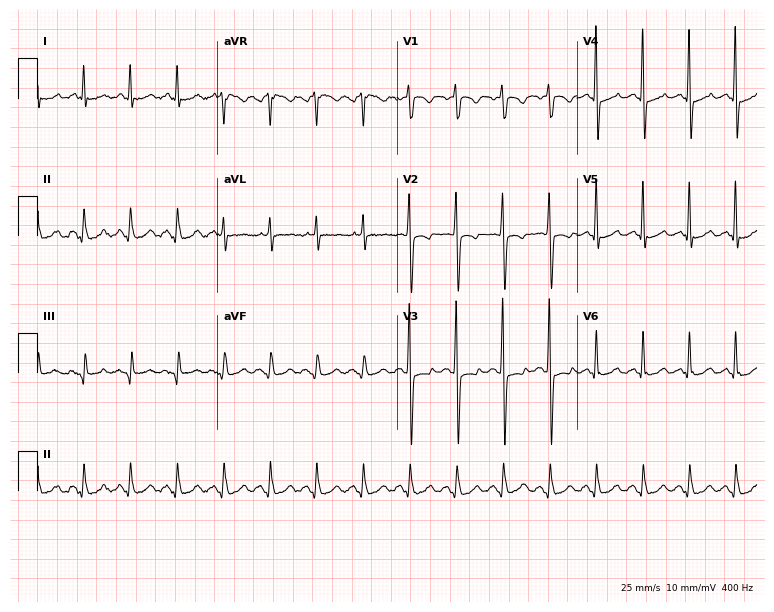
Resting 12-lead electrocardiogram (7.3-second recording at 400 Hz). Patient: a male, 22 years old. None of these six findings is recorded: first-degree AV block, right bundle branch block, left bundle branch block, sinus bradycardia, atrial fibrillation, sinus tachycardia. Only these six findings were labelled.